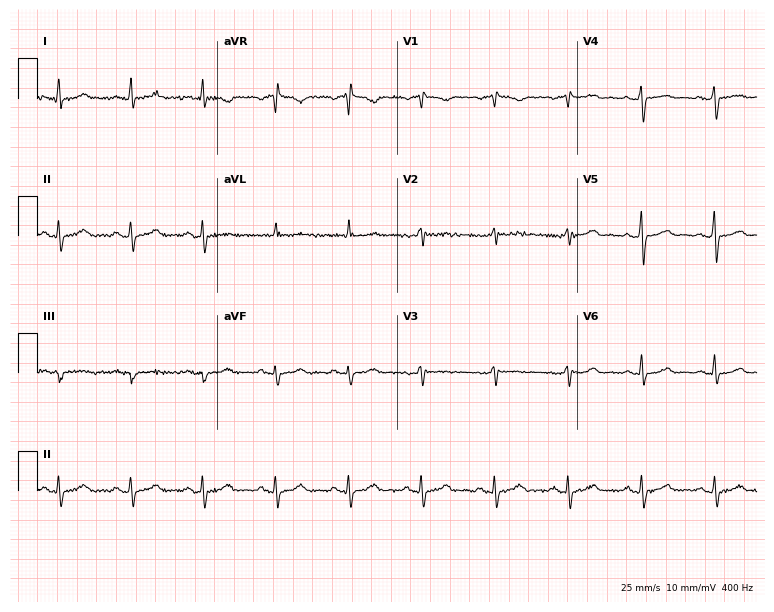
Standard 12-lead ECG recorded from a woman, 54 years old (7.3-second recording at 400 Hz). Read as a normal ECG.